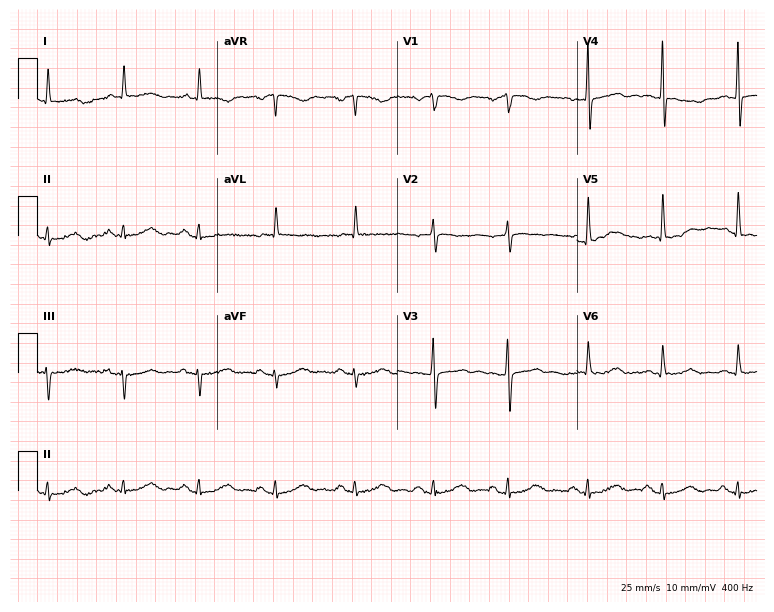
Electrocardiogram, a male patient, 79 years old. Overall reading on record: normal ECG.